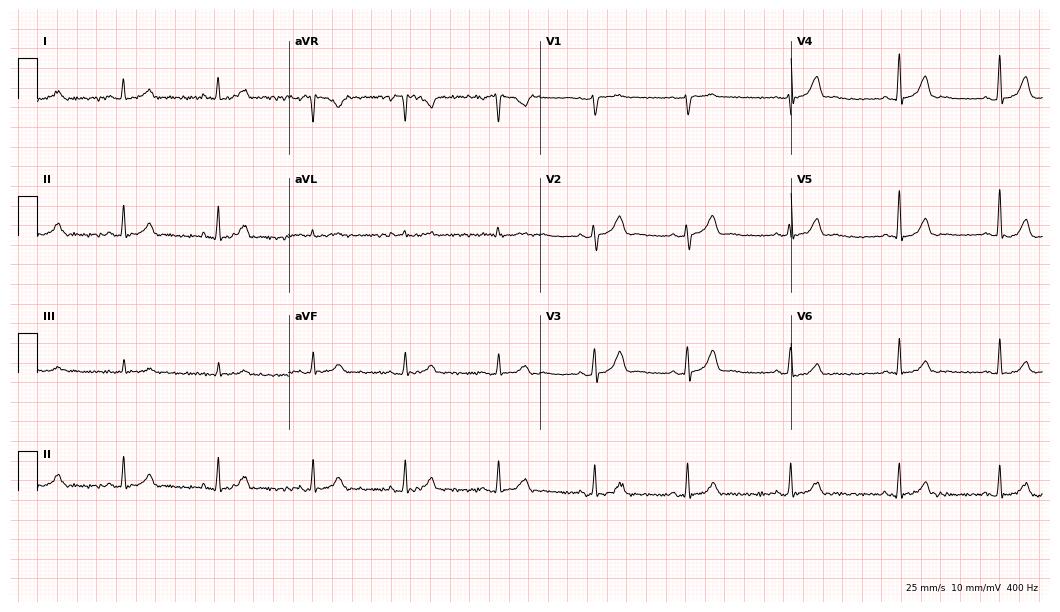
Resting 12-lead electrocardiogram (10.2-second recording at 400 Hz). Patient: a female, 43 years old. Read as a normal ECG.